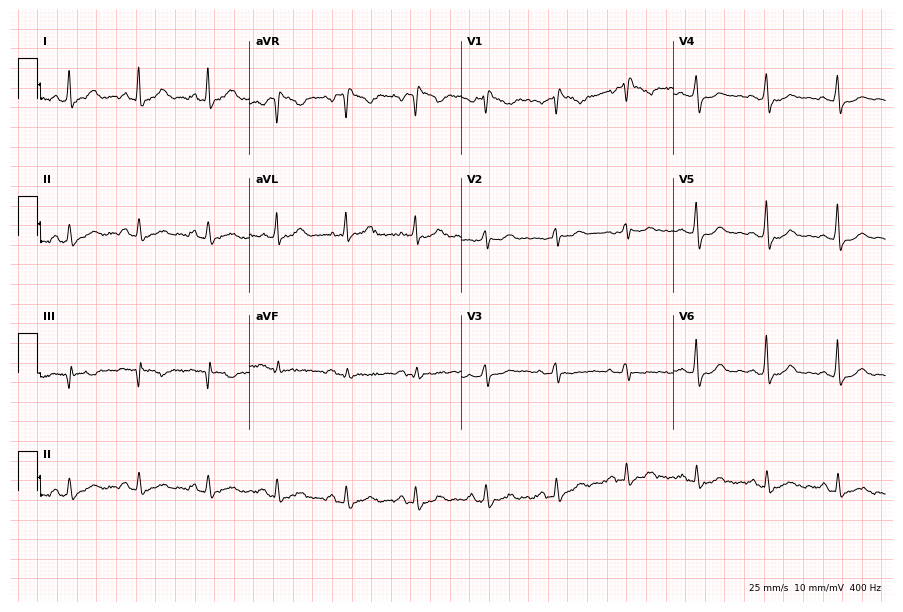
12-lead ECG from a female patient, 60 years old. No first-degree AV block, right bundle branch block, left bundle branch block, sinus bradycardia, atrial fibrillation or sinus tachycardia recorded for this tracing.